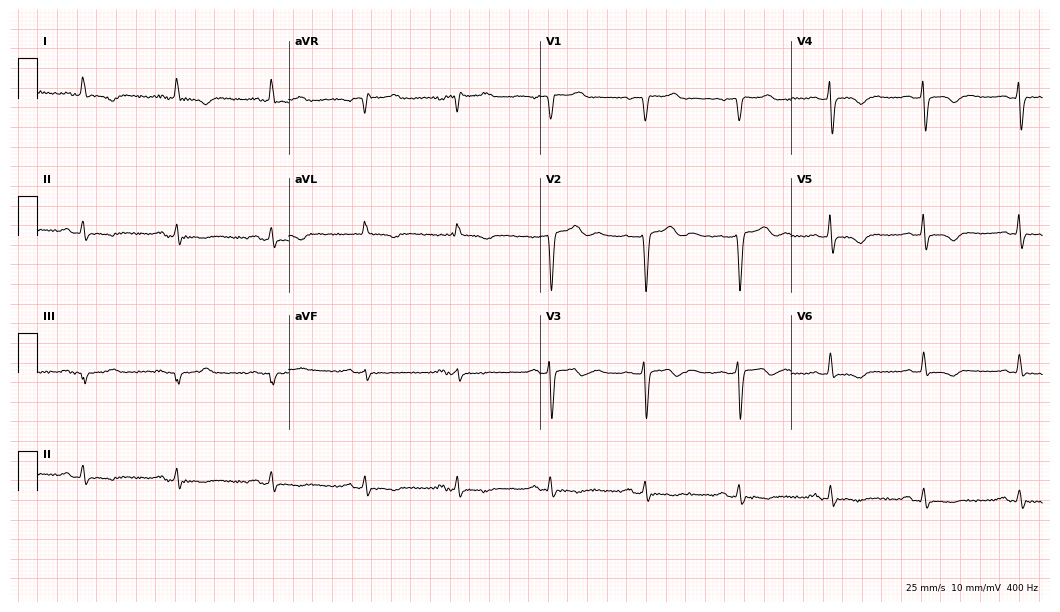
12-lead ECG from a female, 48 years old. Screened for six findings — first-degree AV block, right bundle branch block, left bundle branch block, sinus bradycardia, atrial fibrillation, sinus tachycardia — none is recorded.